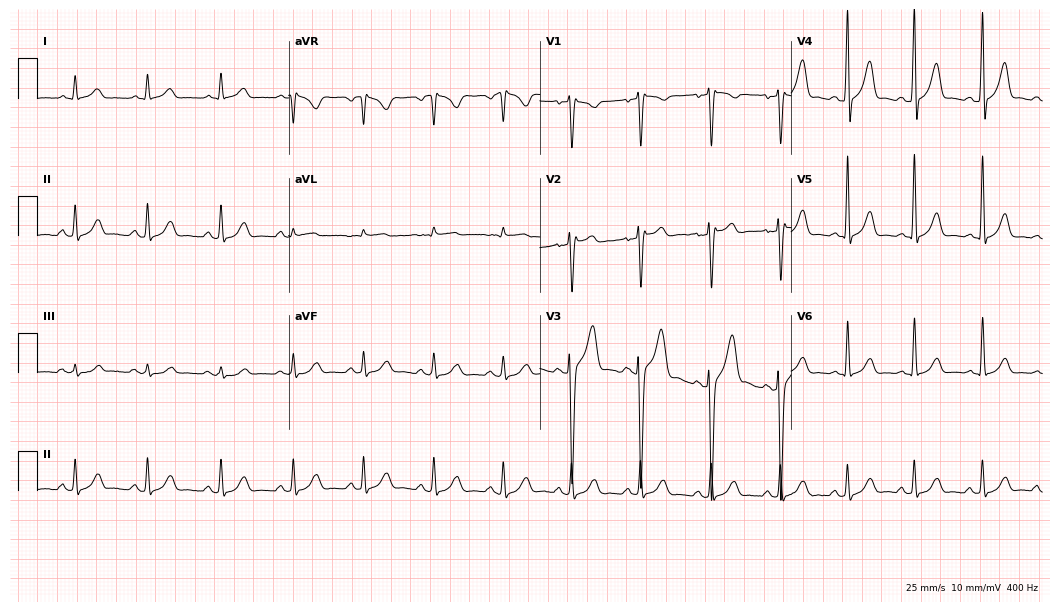
12-lead ECG from a 47-year-old man (10.2-second recording at 400 Hz). Recorded interpretation: within normal limits.